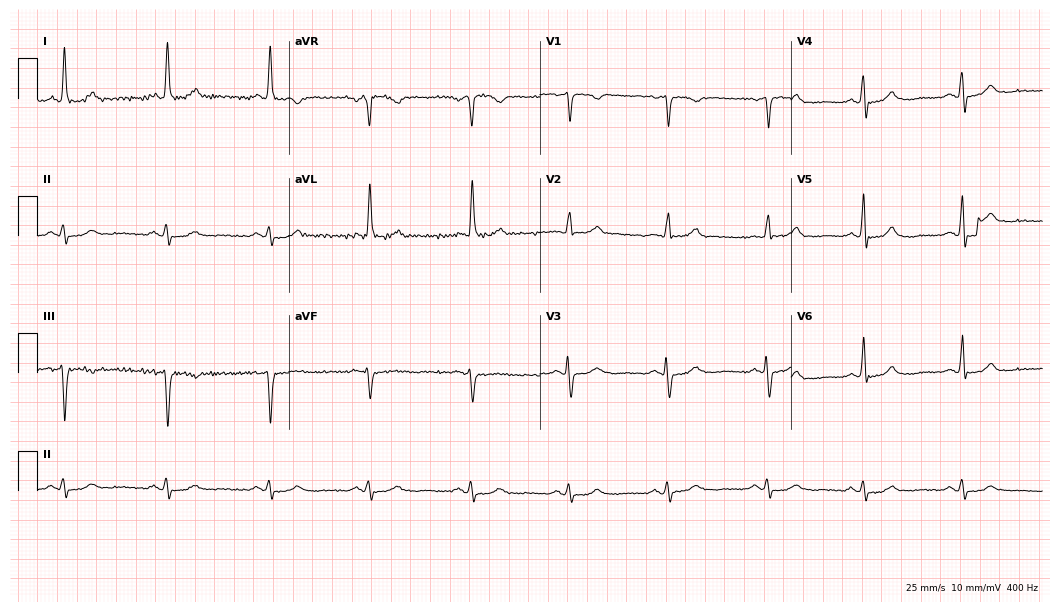
Resting 12-lead electrocardiogram (10.2-second recording at 400 Hz). Patient: a female, 85 years old. None of these six findings is recorded: first-degree AV block, right bundle branch block, left bundle branch block, sinus bradycardia, atrial fibrillation, sinus tachycardia. Only these six findings were labelled.